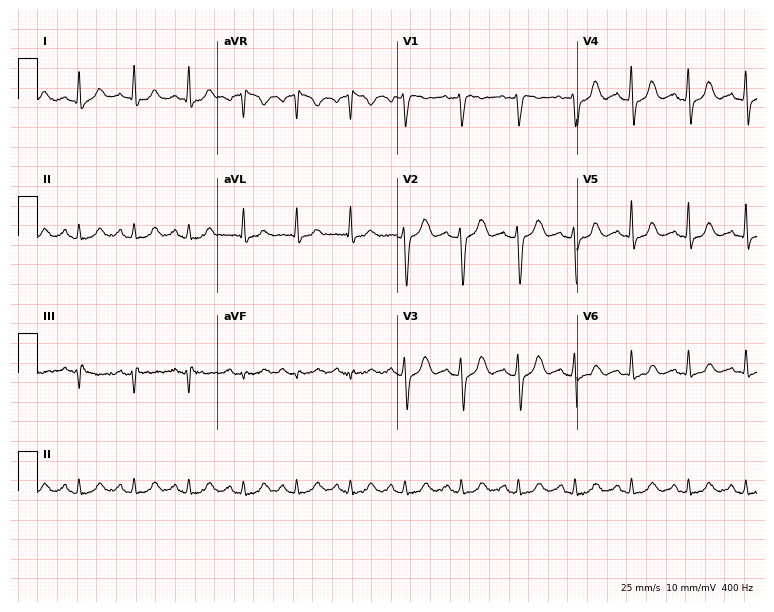
Resting 12-lead electrocardiogram. Patient: a female, 63 years old. The tracing shows sinus tachycardia (a sinus rate of 100 beats per minute or more).